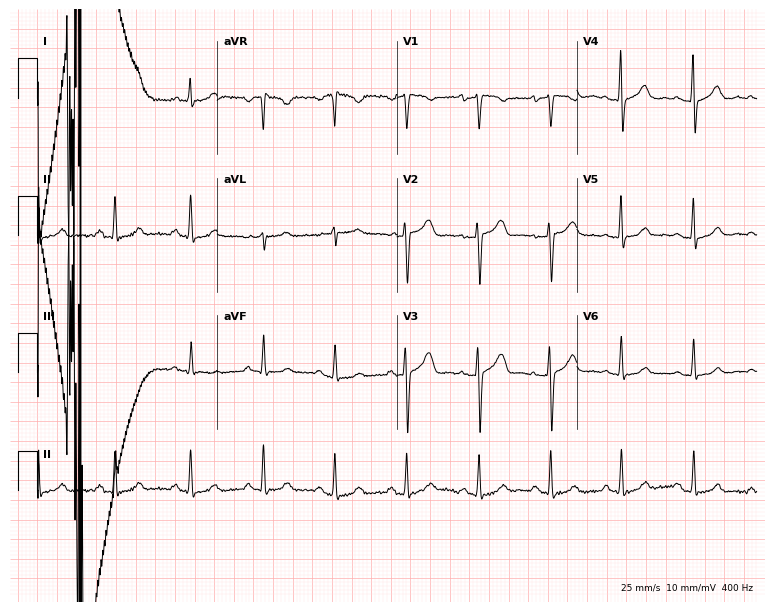
Electrocardiogram (7.3-second recording at 400 Hz), a 46-year-old woman. Of the six screened findings (first-degree AV block, right bundle branch block (RBBB), left bundle branch block (LBBB), sinus bradycardia, atrial fibrillation (AF), sinus tachycardia), none is recorded.